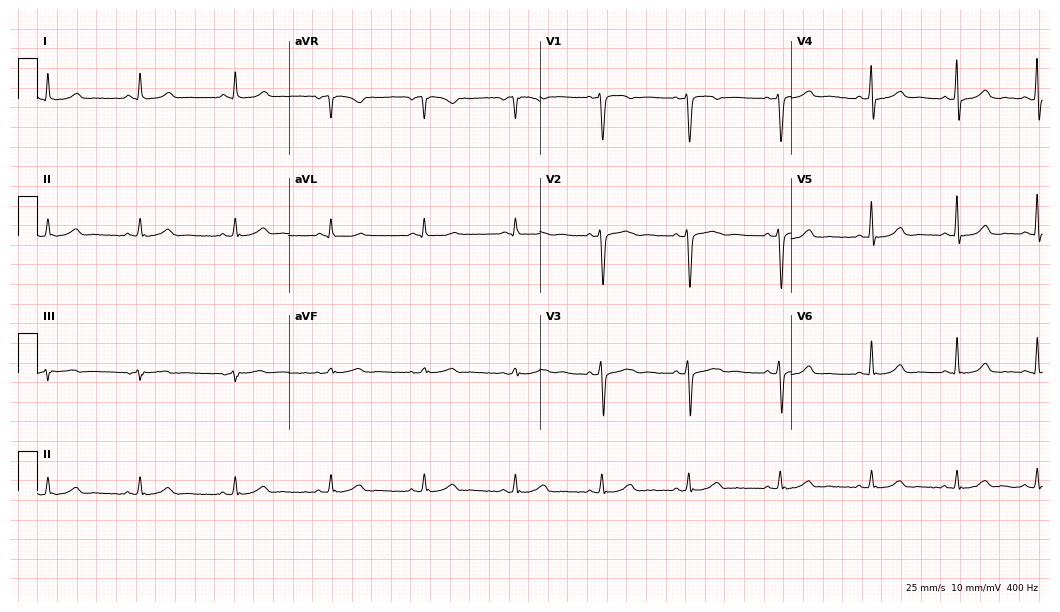
Resting 12-lead electrocardiogram (10.2-second recording at 400 Hz). Patient: a 44-year-old female. Read as a normal ECG.